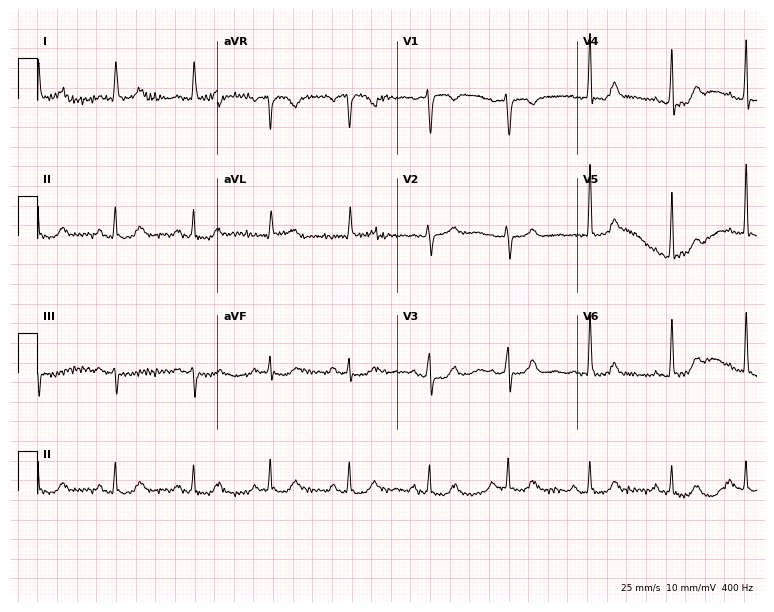
12-lead ECG from a female, 79 years old. No first-degree AV block, right bundle branch block (RBBB), left bundle branch block (LBBB), sinus bradycardia, atrial fibrillation (AF) or sinus tachycardia recorded for this tracing. Only these six findings were labelled.